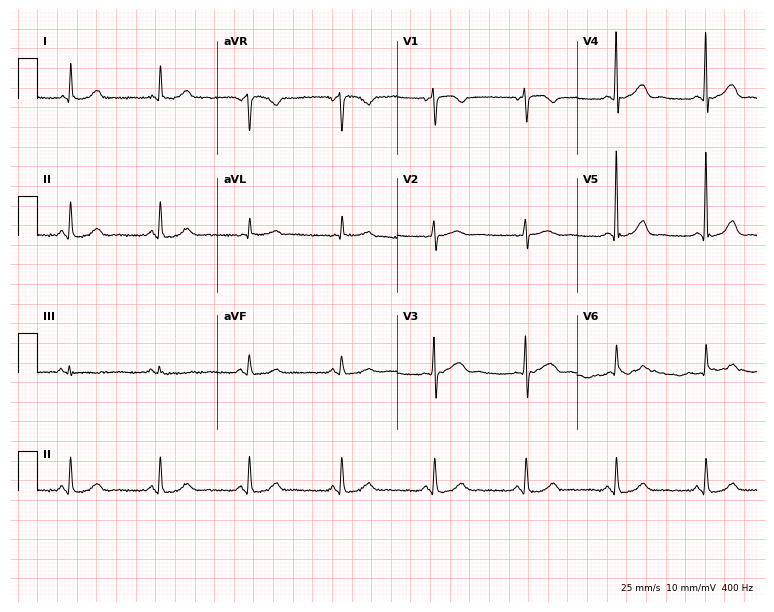
12-lead ECG from a 68-year-old woman. Screened for six findings — first-degree AV block, right bundle branch block (RBBB), left bundle branch block (LBBB), sinus bradycardia, atrial fibrillation (AF), sinus tachycardia — none is recorded.